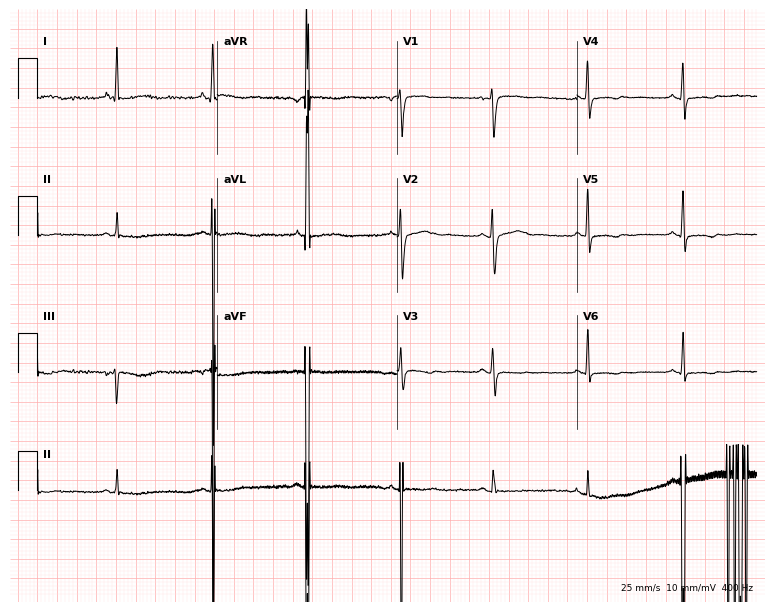
ECG — a woman, 85 years old. Screened for six findings — first-degree AV block, right bundle branch block, left bundle branch block, sinus bradycardia, atrial fibrillation, sinus tachycardia — none is recorded.